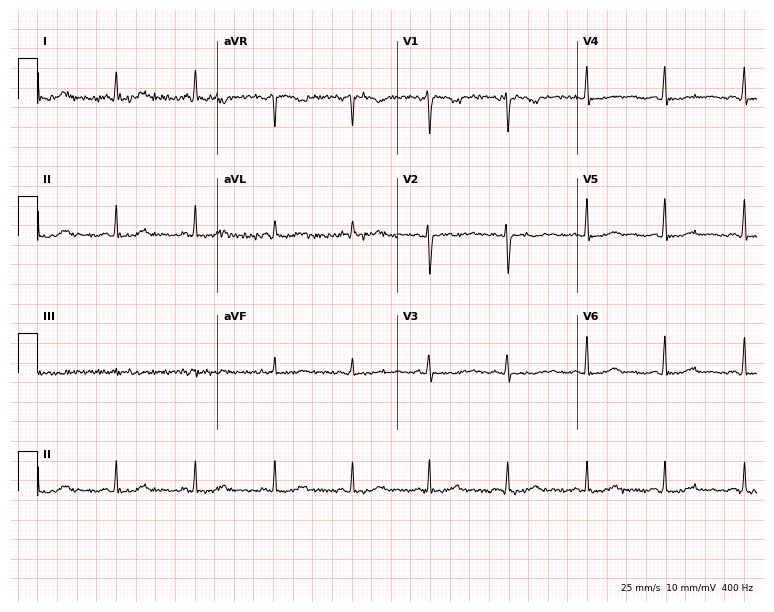
ECG — a 48-year-old female. Screened for six findings — first-degree AV block, right bundle branch block (RBBB), left bundle branch block (LBBB), sinus bradycardia, atrial fibrillation (AF), sinus tachycardia — none is recorded.